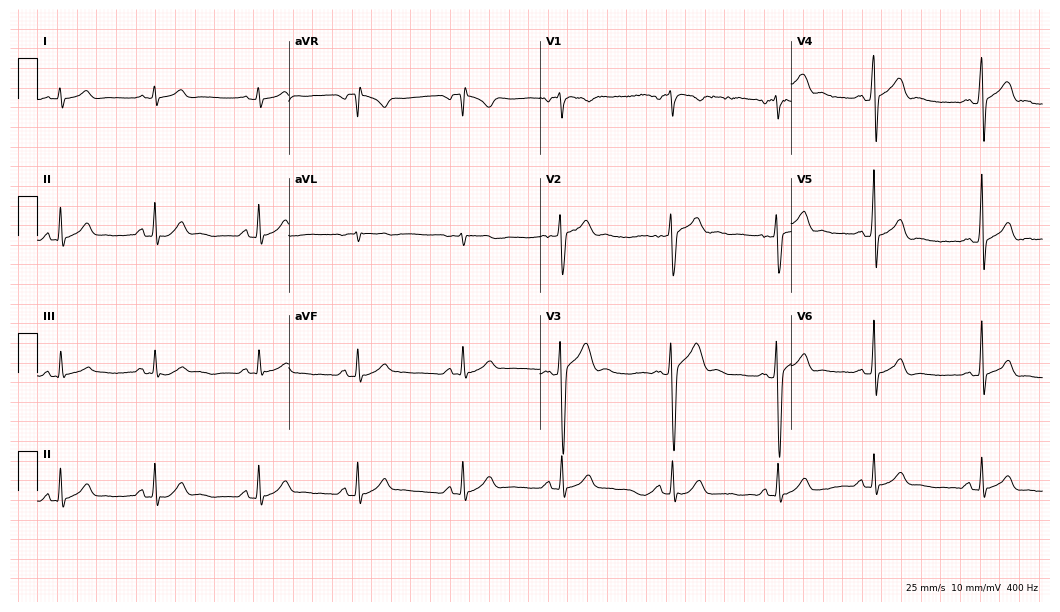
Electrocardiogram (10.2-second recording at 400 Hz), a 17-year-old male. Overall reading on record: normal ECG.